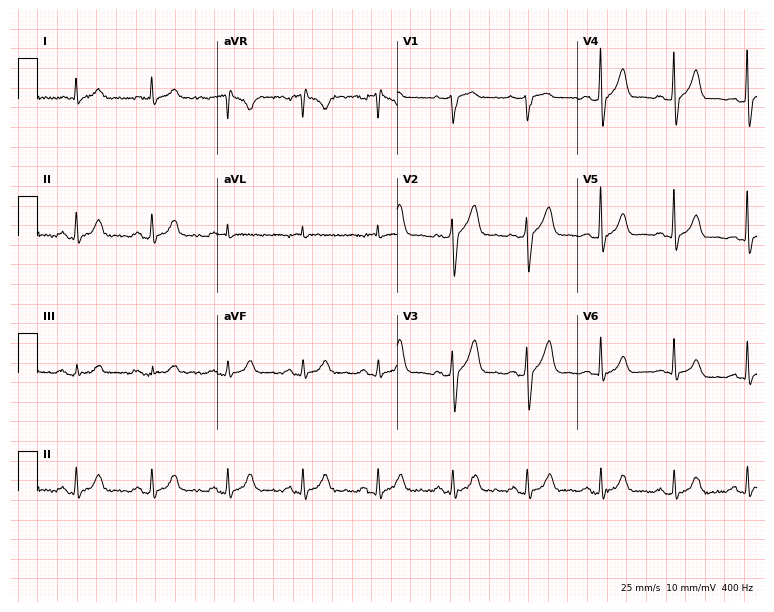
Standard 12-lead ECG recorded from a 66-year-old male patient. Read as a normal ECG.